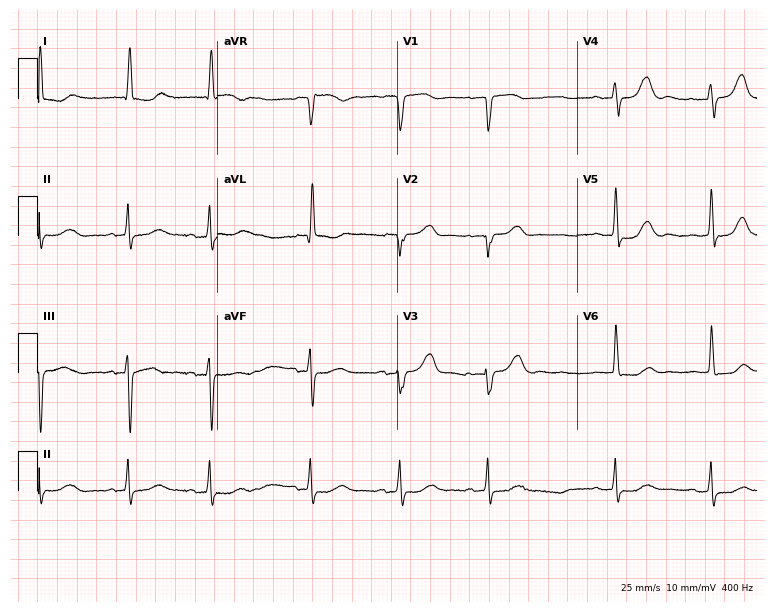
ECG — a female, 84 years old. Labelled as a normal ECG.